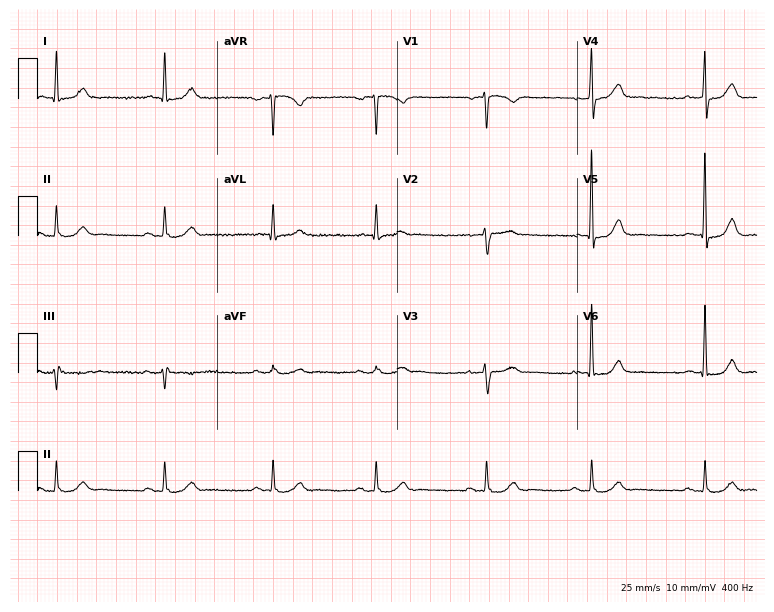
Electrocardiogram, a man, 69 years old. Overall reading on record: normal ECG.